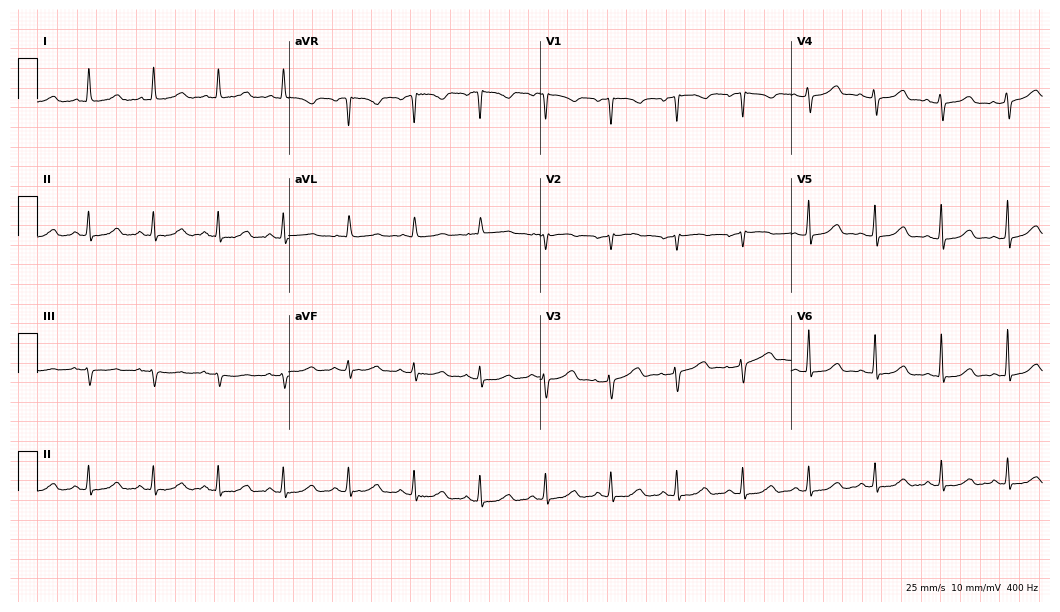
Electrocardiogram (10.2-second recording at 400 Hz), a female patient, 63 years old. Overall reading on record: normal ECG.